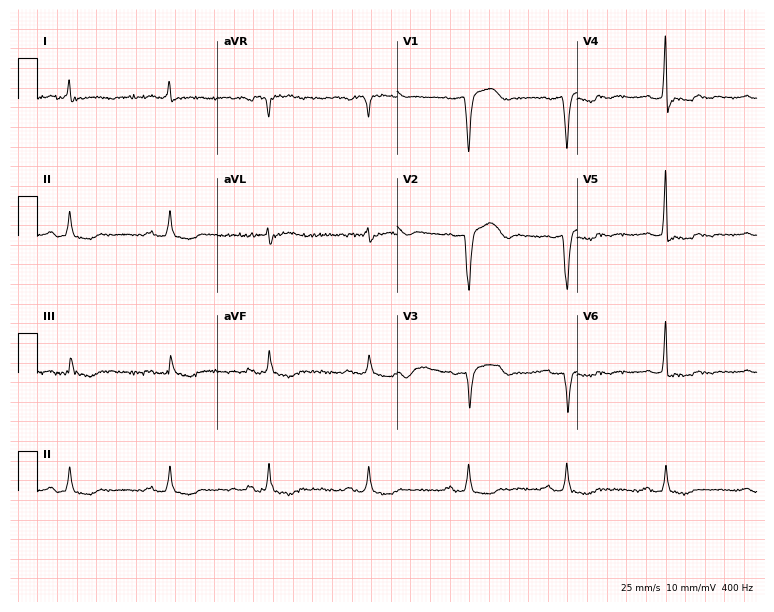
Electrocardiogram, a 72-year-old male. Of the six screened findings (first-degree AV block, right bundle branch block (RBBB), left bundle branch block (LBBB), sinus bradycardia, atrial fibrillation (AF), sinus tachycardia), none is recorded. Only these six findings were labelled.